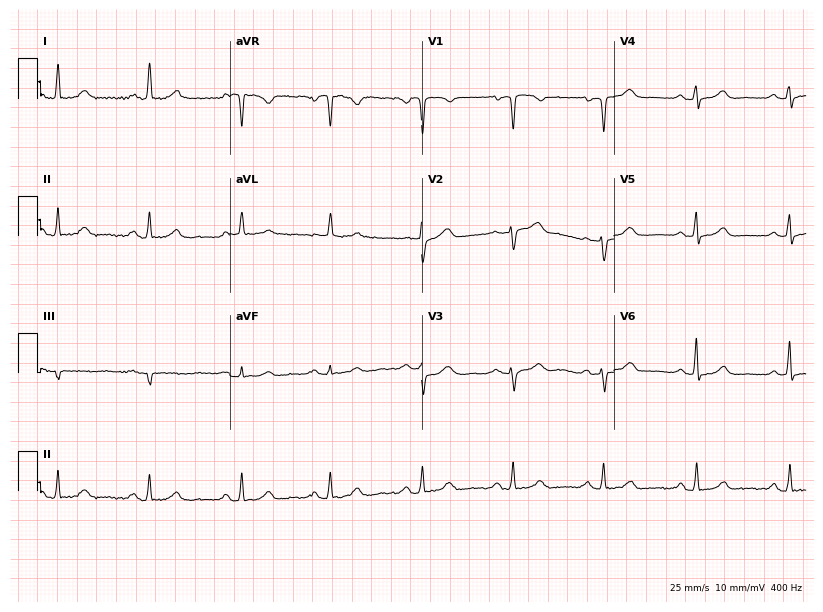
12-lead ECG from a 51-year-old woman. Labelled as a normal ECG.